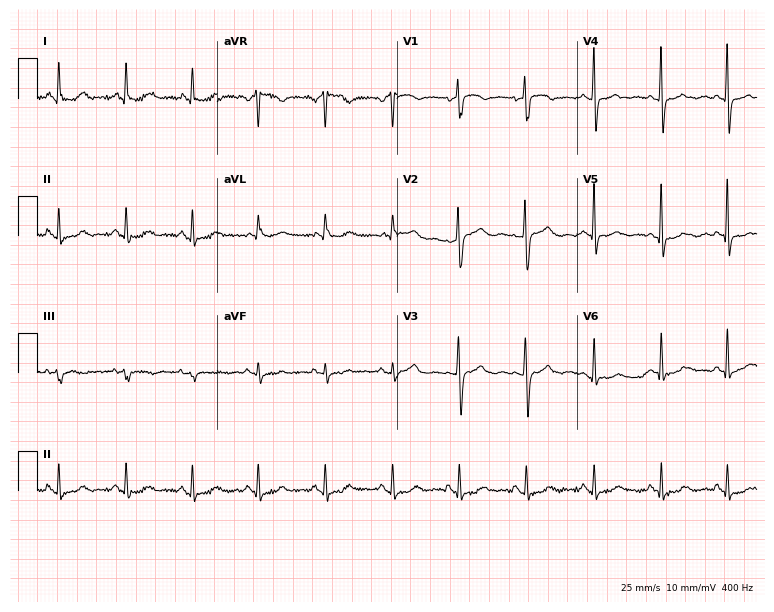
Electrocardiogram, a female, 69 years old. Of the six screened findings (first-degree AV block, right bundle branch block (RBBB), left bundle branch block (LBBB), sinus bradycardia, atrial fibrillation (AF), sinus tachycardia), none is recorded. Findings outside these six are not listed.